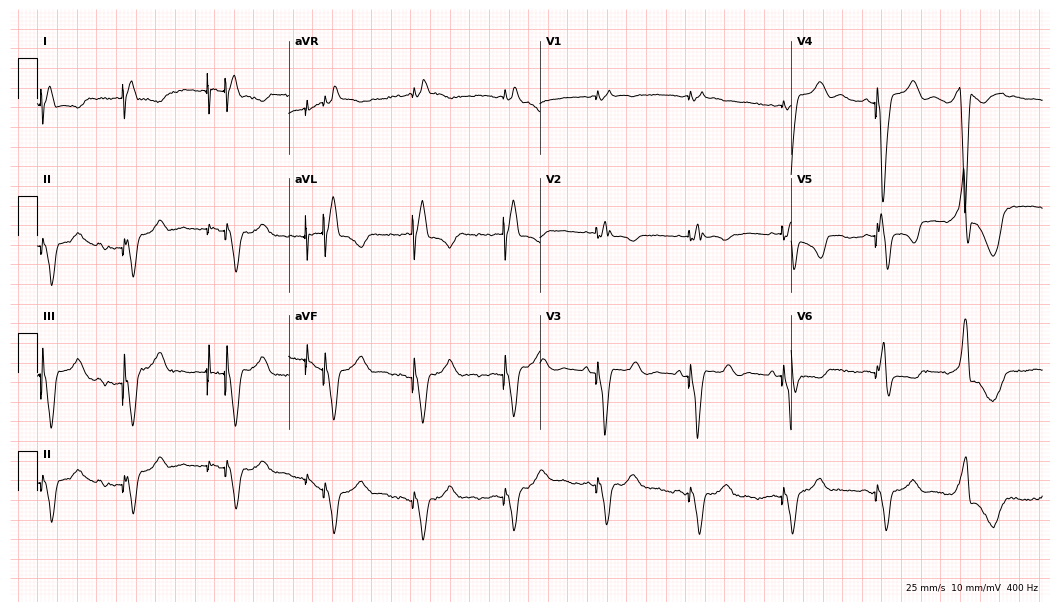
Standard 12-lead ECG recorded from an 84-year-old female (10.2-second recording at 400 Hz). None of these six findings is recorded: first-degree AV block, right bundle branch block, left bundle branch block, sinus bradycardia, atrial fibrillation, sinus tachycardia. Only these six findings were labelled.